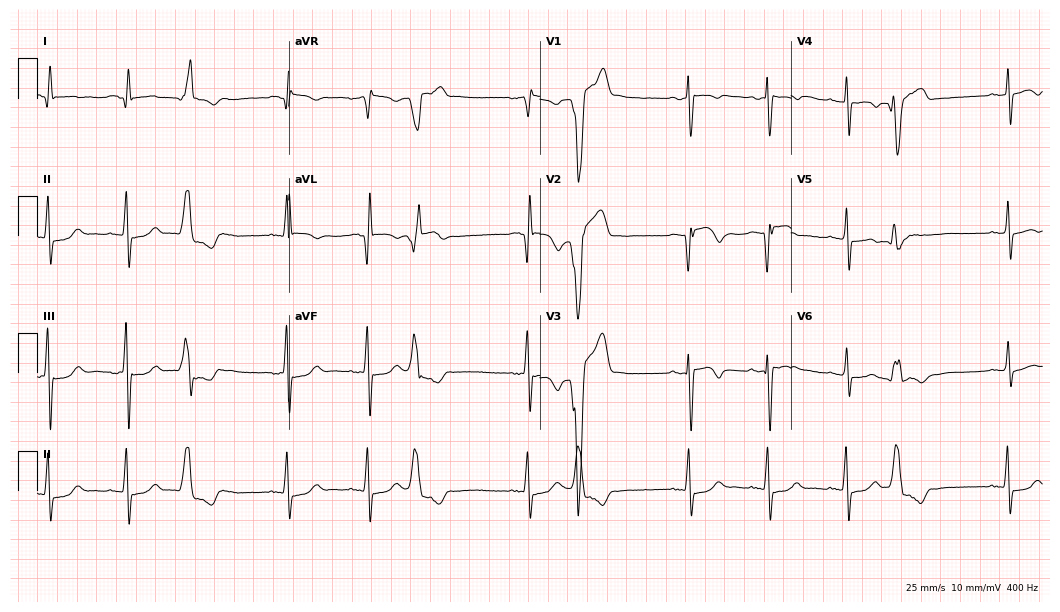
Standard 12-lead ECG recorded from an 83-year-old man. None of these six findings is recorded: first-degree AV block, right bundle branch block, left bundle branch block, sinus bradycardia, atrial fibrillation, sinus tachycardia.